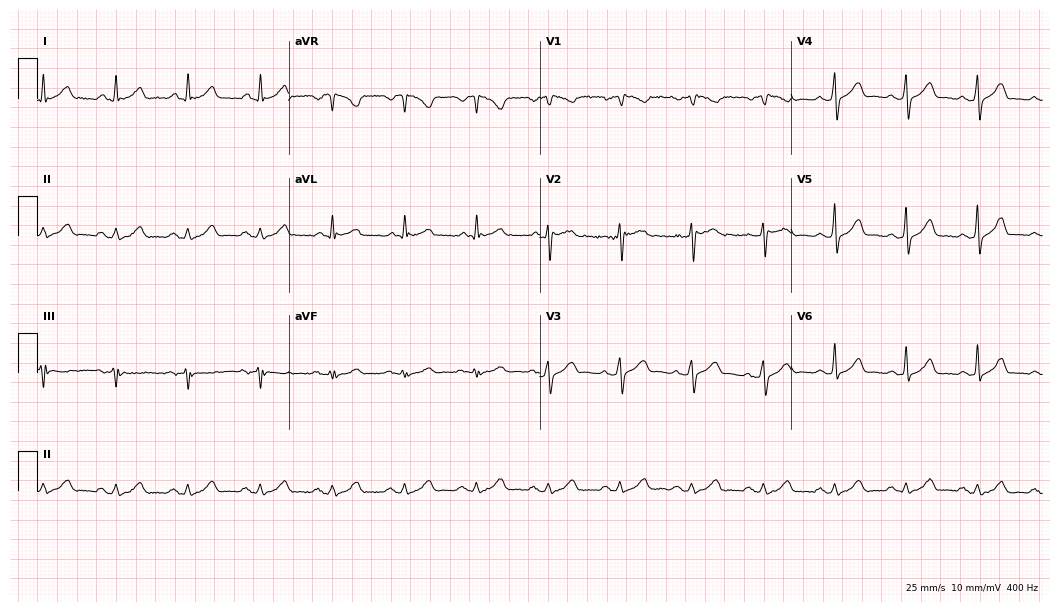
12-lead ECG from a 52-year-old male patient (10.2-second recording at 400 Hz). Recorded interpretation: within normal limits.